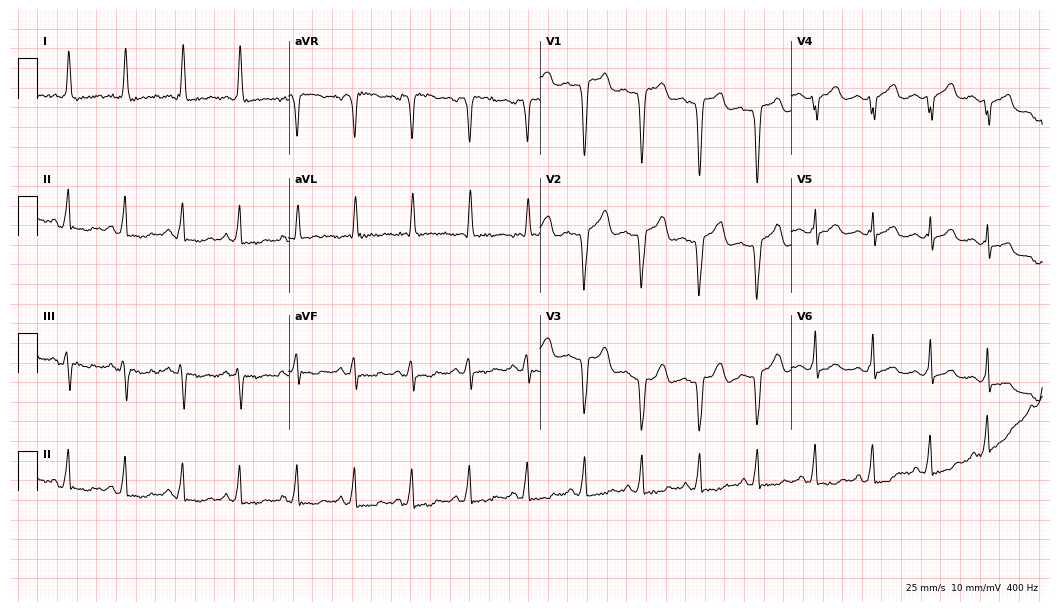
12-lead ECG from a woman, 54 years old (10.2-second recording at 400 Hz). No first-degree AV block, right bundle branch block, left bundle branch block, sinus bradycardia, atrial fibrillation or sinus tachycardia recorded for this tracing.